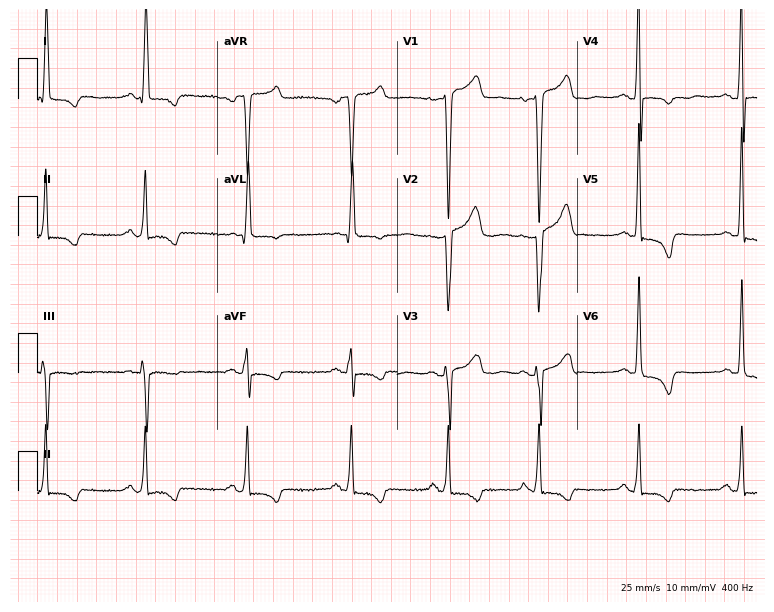
12-lead ECG (7.3-second recording at 400 Hz) from a 39-year-old female. Labelled as a normal ECG.